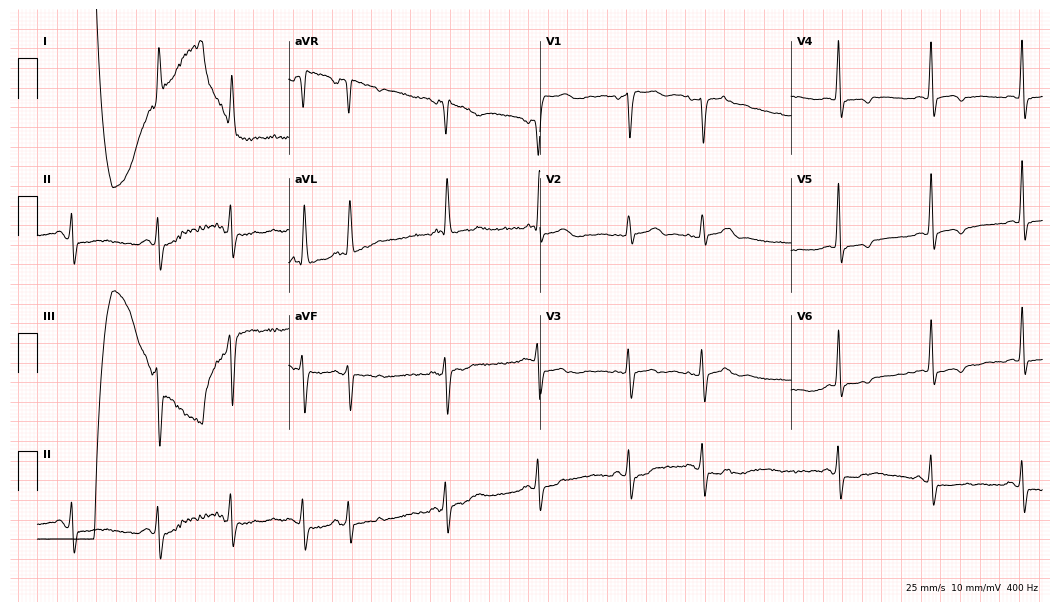
Standard 12-lead ECG recorded from an 84-year-old woman (10.2-second recording at 400 Hz). None of these six findings is recorded: first-degree AV block, right bundle branch block, left bundle branch block, sinus bradycardia, atrial fibrillation, sinus tachycardia.